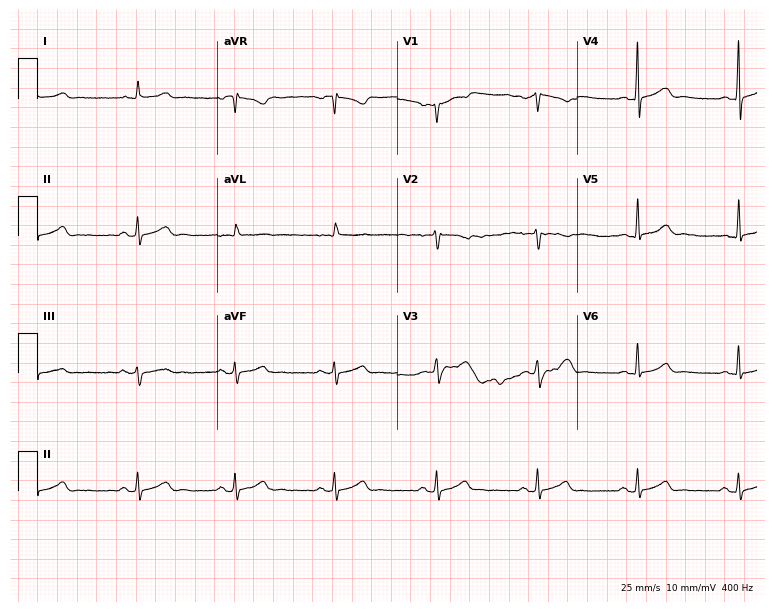
Standard 12-lead ECG recorded from a 40-year-old man. Read as a normal ECG.